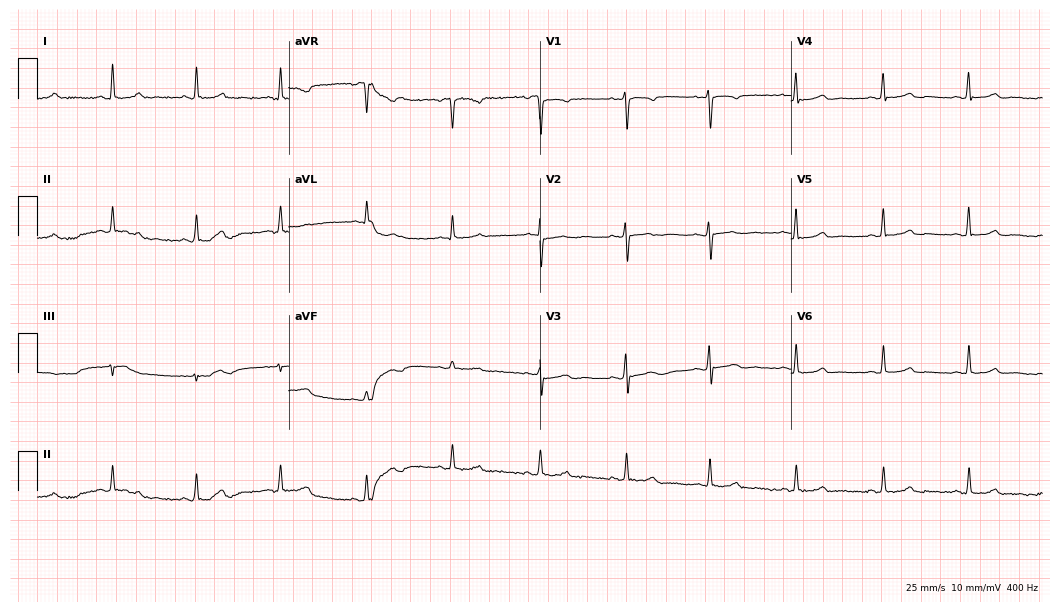
12-lead ECG from a 47-year-old female patient. Labelled as a normal ECG.